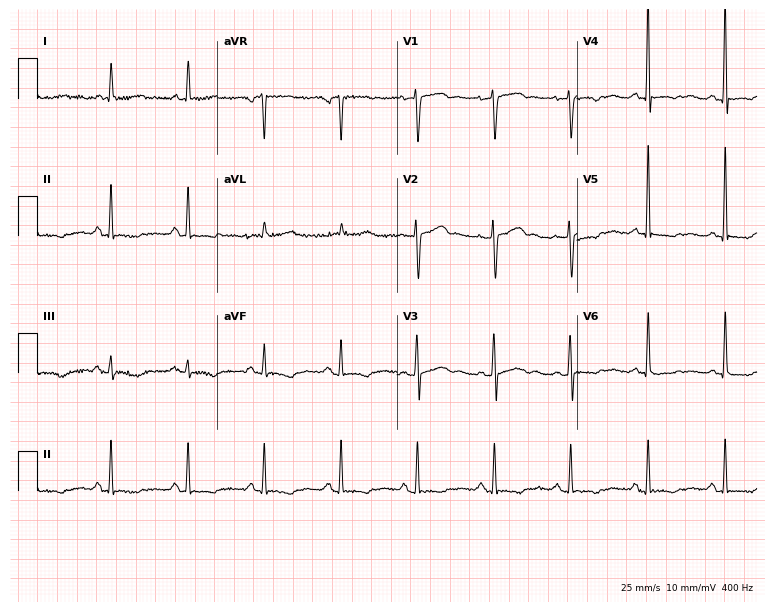
Electrocardiogram (7.3-second recording at 400 Hz), a woman, 65 years old. Of the six screened findings (first-degree AV block, right bundle branch block, left bundle branch block, sinus bradycardia, atrial fibrillation, sinus tachycardia), none is recorded. Only these six findings were labelled.